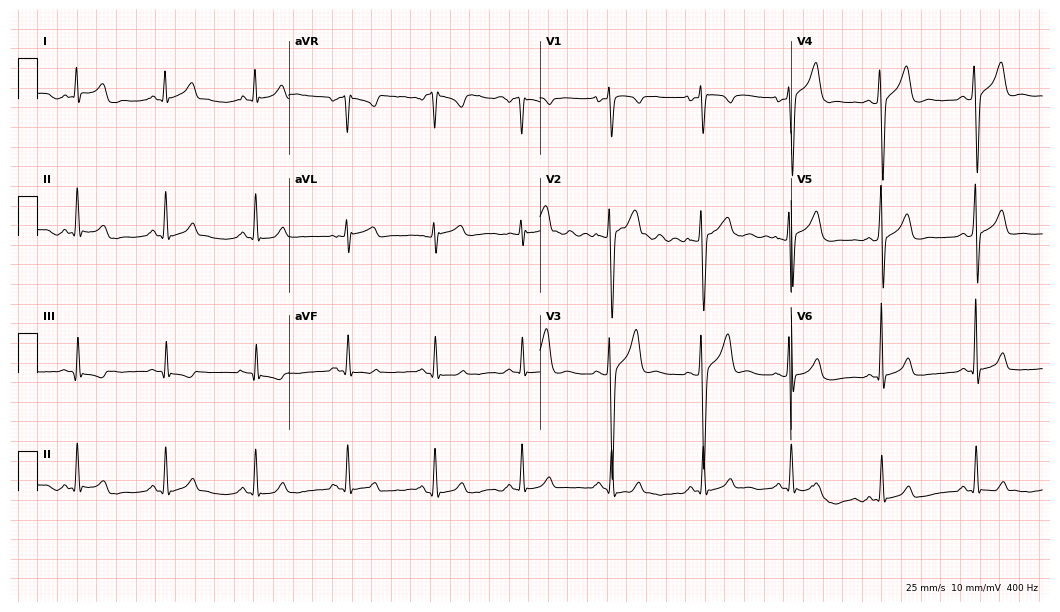
Standard 12-lead ECG recorded from a man, 28 years old (10.2-second recording at 400 Hz). Read as a normal ECG.